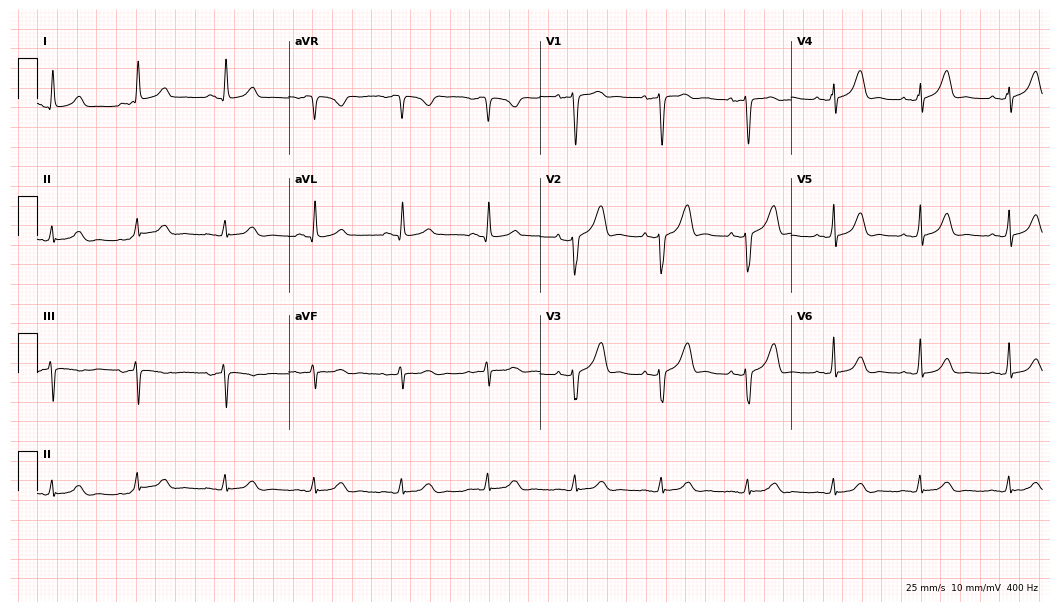
Resting 12-lead electrocardiogram (10.2-second recording at 400 Hz). Patient: a female, 52 years old. Read as a normal ECG.